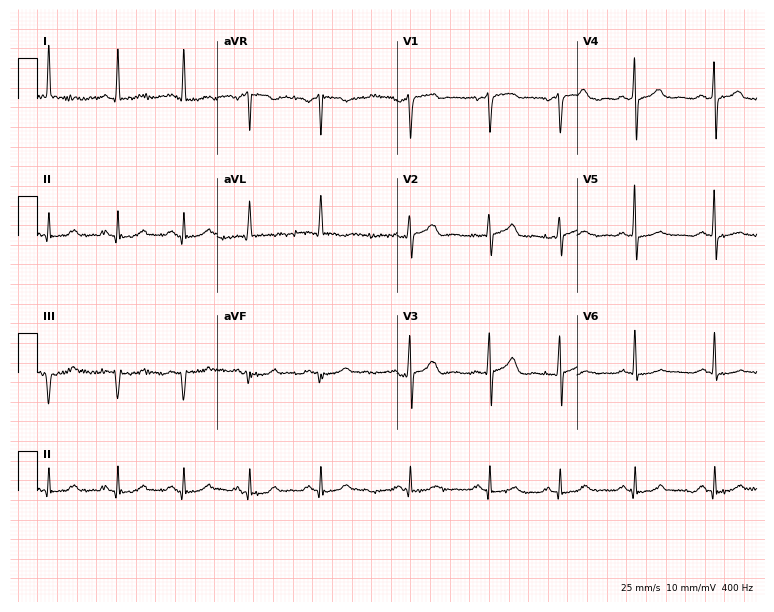
Electrocardiogram (7.3-second recording at 400 Hz), a female, 54 years old. Of the six screened findings (first-degree AV block, right bundle branch block, left bundle branch block, sinus bradycardia, atrial fibrillation, sinus tachycardia), none is recorded.